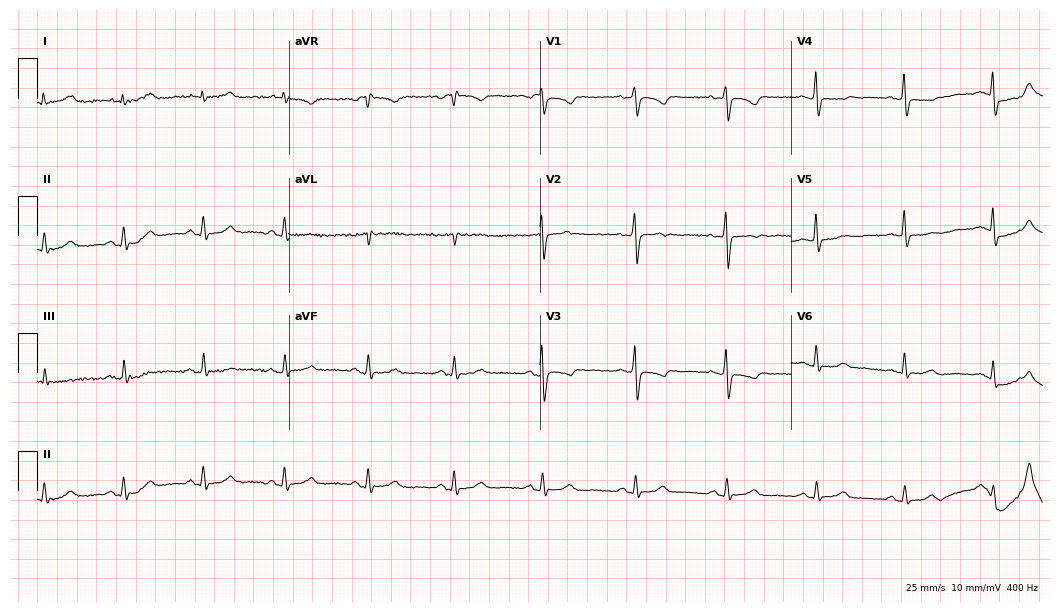
12-lead ECG from a 63-year-old female patient (10.2-second recording at 400 Hz). No first-degree AV block, right bundle branch block (RBBB), left bundle branch block (LBBB), sinus bradycardia, atrial fibrillation (AF) or sinus tachycardia recorded for this tracing.